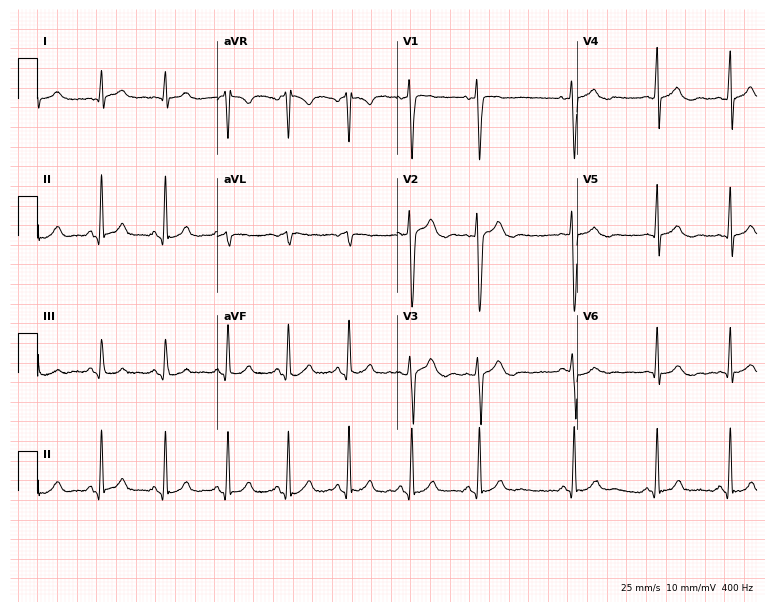
12-lead ECG from a woman, 21 years old (7.3-second recording at 400 Hz). No first-degree AV block, right bundle branch block (RBBB), left bundle branch block (LBBB), sinus bradycardia, atrial fibrillation (AF) or sinus tachycardia recorded for this tracing.